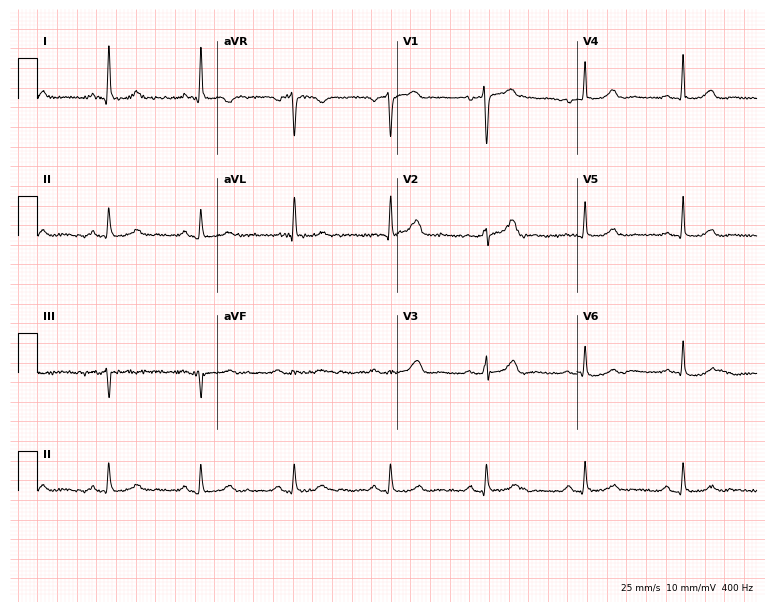
12-lead ECG from a female, 53 years old (7.3-second recording at 400 Hz). Recorded interpretation: within normal limits.